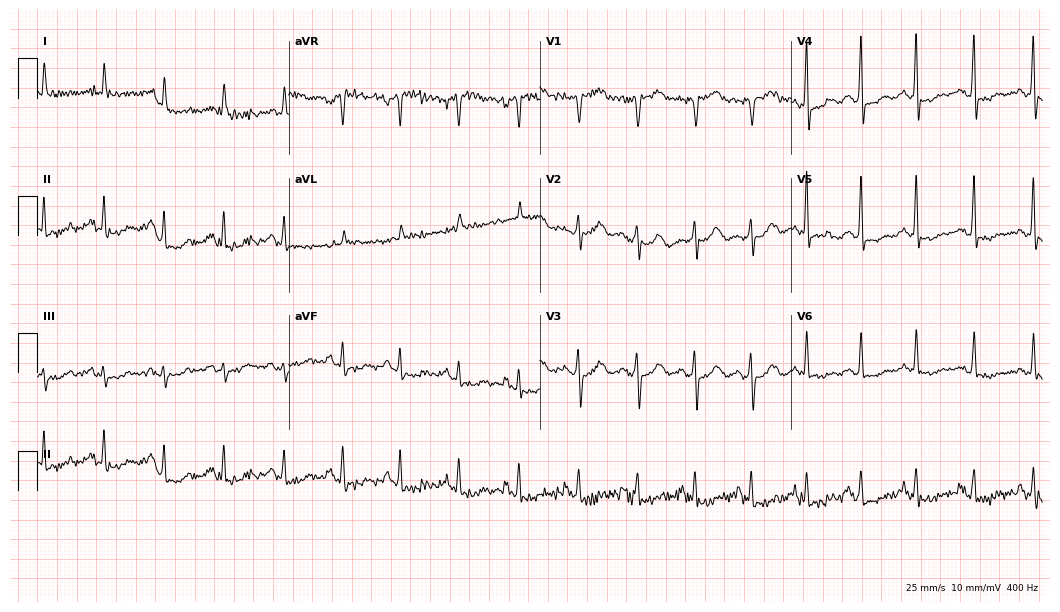
Electrocardiogram (10.2-second recording at 400 Hz), a female, 57 years old. Of the six screened findings (first-degree AV block, right bundle branch block (RBBB), left bundle branch block (LBBB), sinus bradycardia, atrial fibrillation (AF), sinus tachycardia), none is recorded. Only these six findings were labelled.